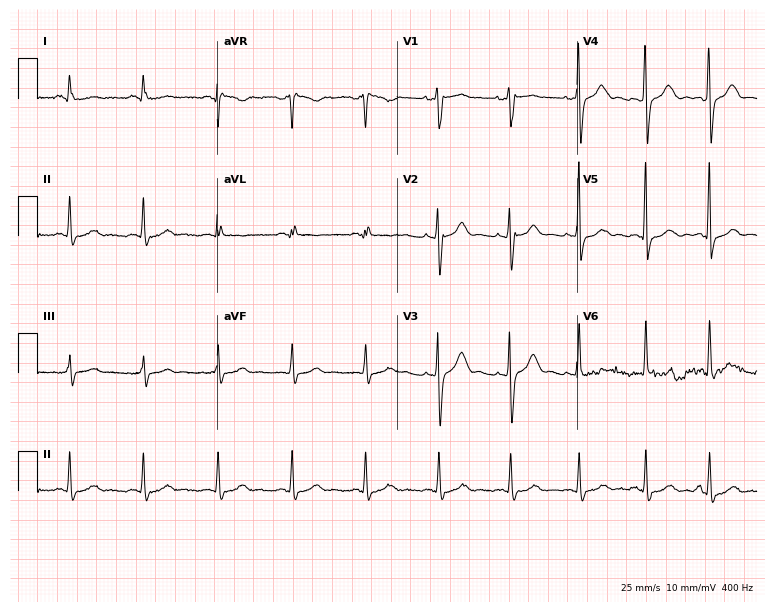
Standard 12-lead ECG recorded from a 32-year-old female patient. None of these six findings is recorded: first-degree AV block, right bundle branch block, left bundle branch block, sinus bradycardia, atrial fibrillation, sinus tachycardia. Other findings, if any, are not listed.